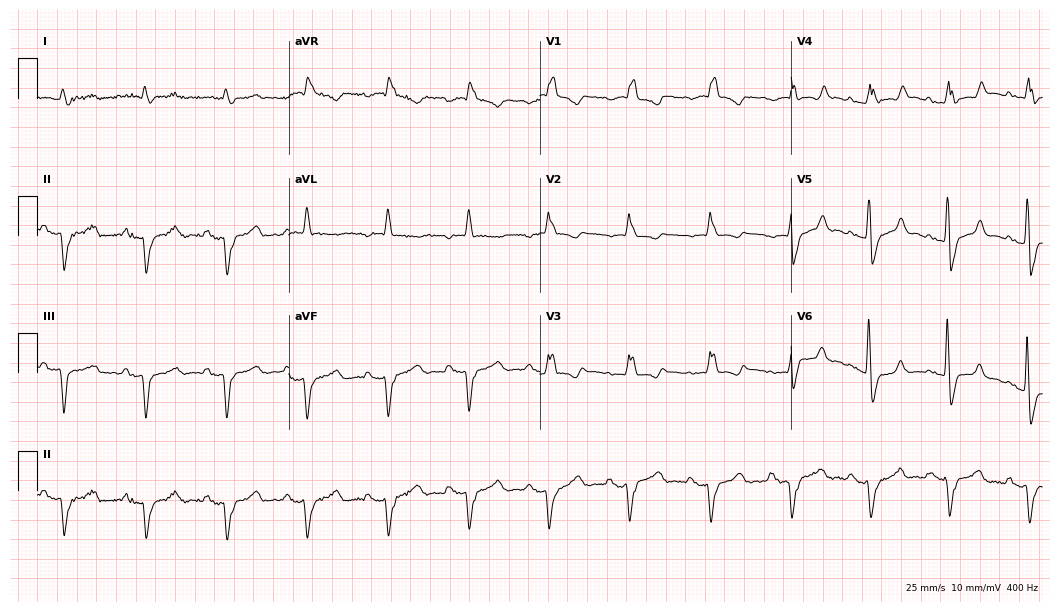
Electrocardiogram, a male patient, 72 years old. Interpretation includes right bundle branch block.